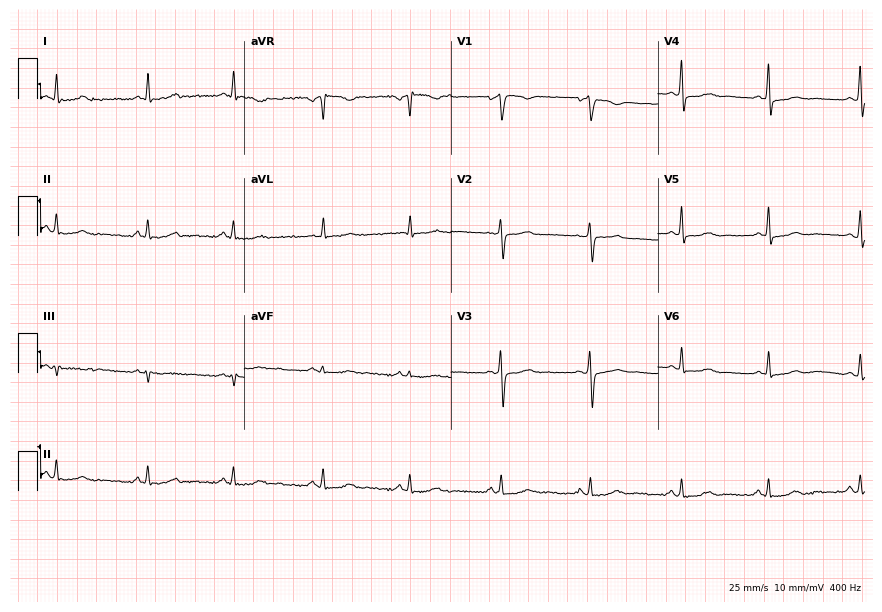
12-lead ECG (8.4-second recording at 400 Hz) from a female patient, 45 years old. Screened for six findings — first-degree AV block, right bundle branch block (RBBB), left bundle branch block (LBBB), sinus bradycardia, atrial fibrillation (AF), sinus tachycardia — none is recorded.